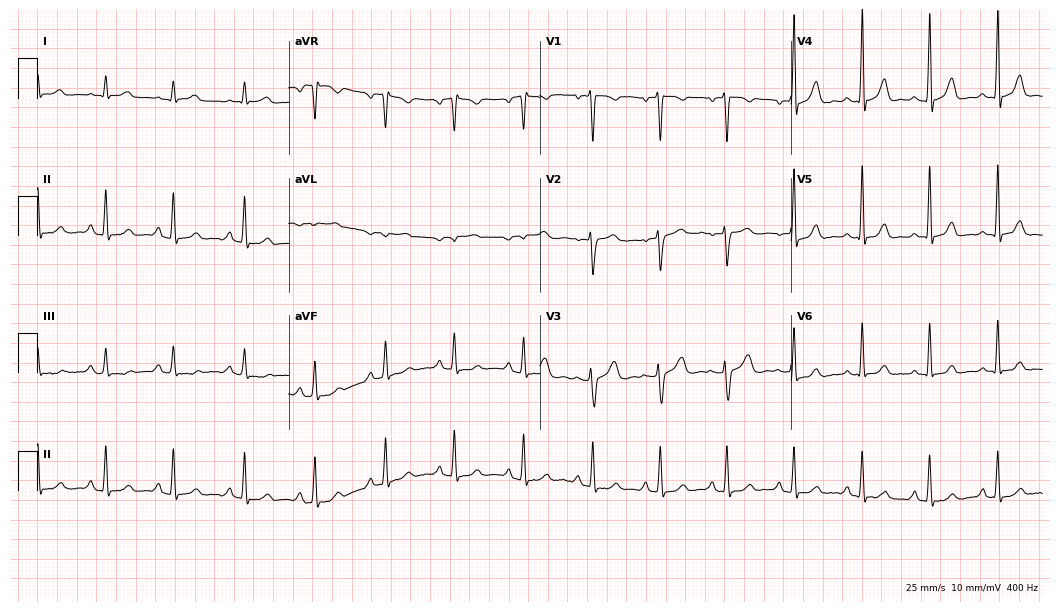
12-lead ECG from a 32-year-old woman. No first-degree AV block, right bundle branch block, left bundle branch block, sinus bradycardia, atrial fibrillation or sinus tachycardia recorded for this tracing.